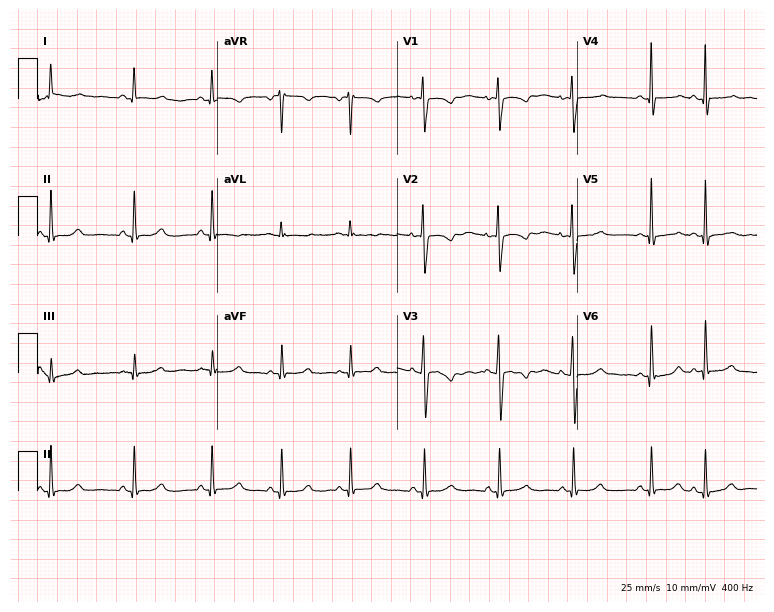
12-lead ECG (7.3-second recording at 400 Hz) from a 34-year-old woman. Screened for six findings — first-degree AV block, right bundle branch block, left bundle branch block, sinus bradycardia, atrial fibrillation, sinus tachycardia — none is recorded. Only these six findings were labelled.